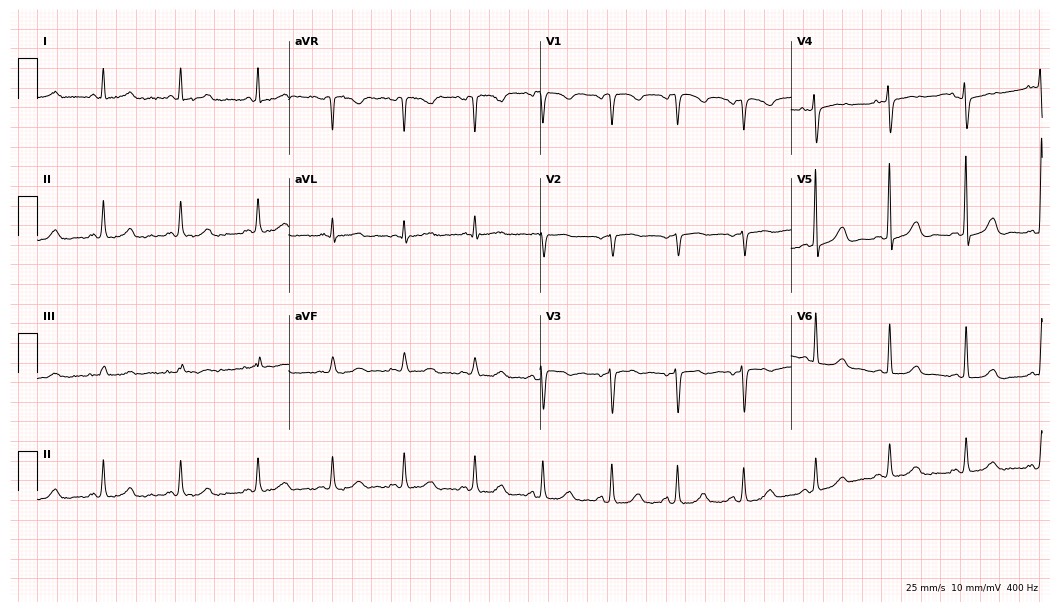
Electrocardiogram (10.2-second recording at 400 Hz), a woman, 61 years old. Overall reading on record: normal ECG.